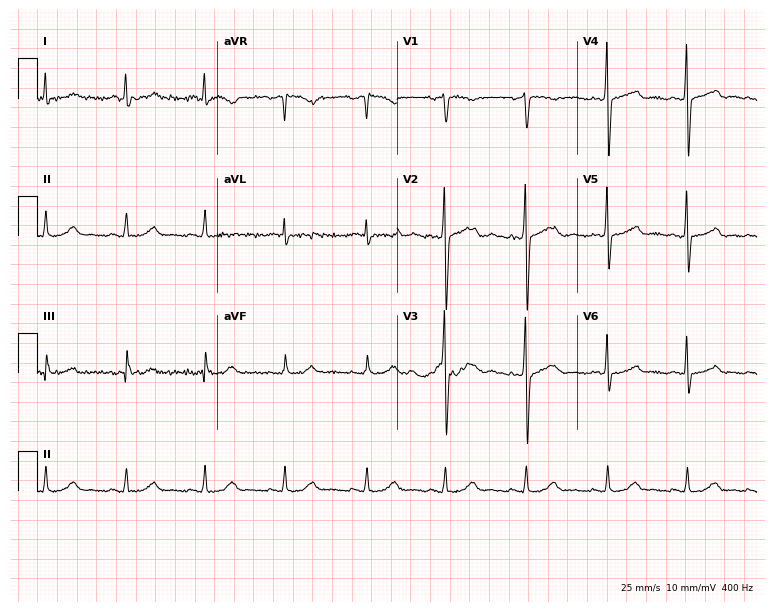
Resting 12-lead electrocardiogram. Patient: a female, 55 years old. Read as a normal ECG.